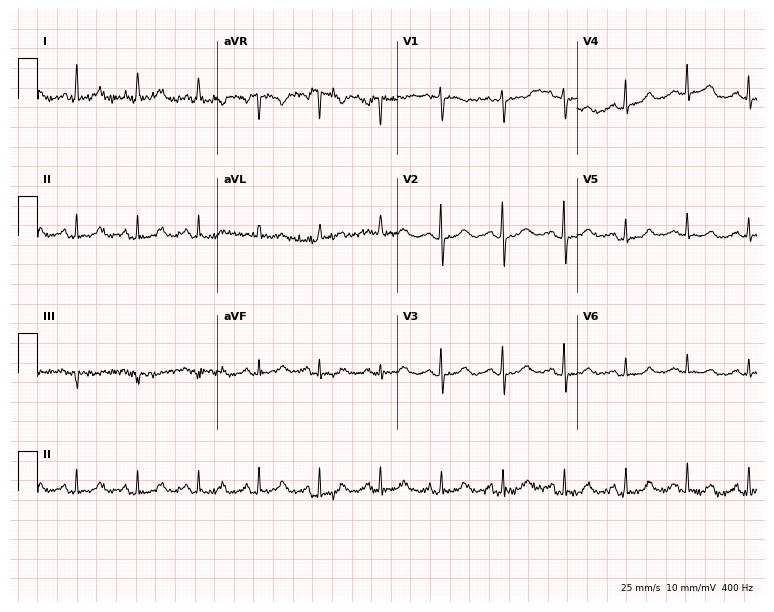
ECG (7.3-second recording at 400 Hz) — a woman, 76 years old. Labelled as a normal ECG.